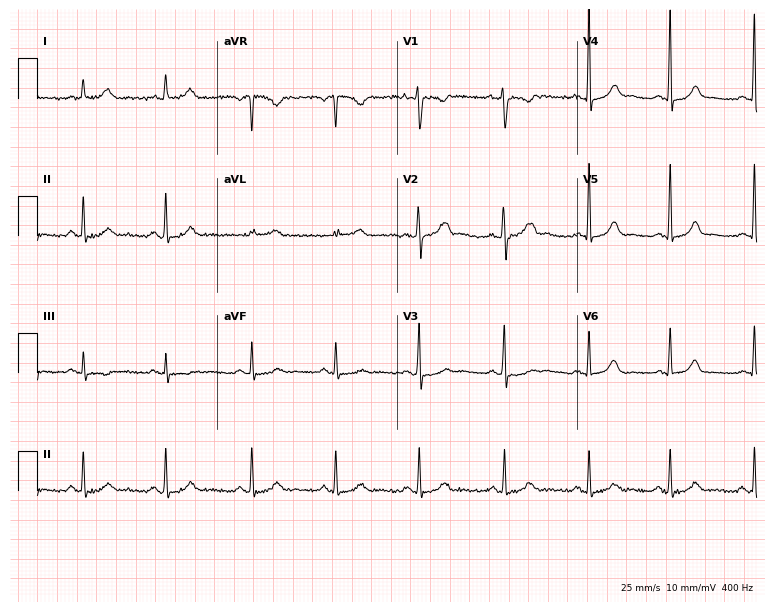
12-lead ECG (7.3-second recording at 400 Hz) from a 30-year-old woman. Screened for six findings — first-degree AV block, right bundle branch block (RBBB), left bundle branch block (LBBB), sinus bradycardia, atrial fibrillation (AF), sinus tachycardia — none is recorded.